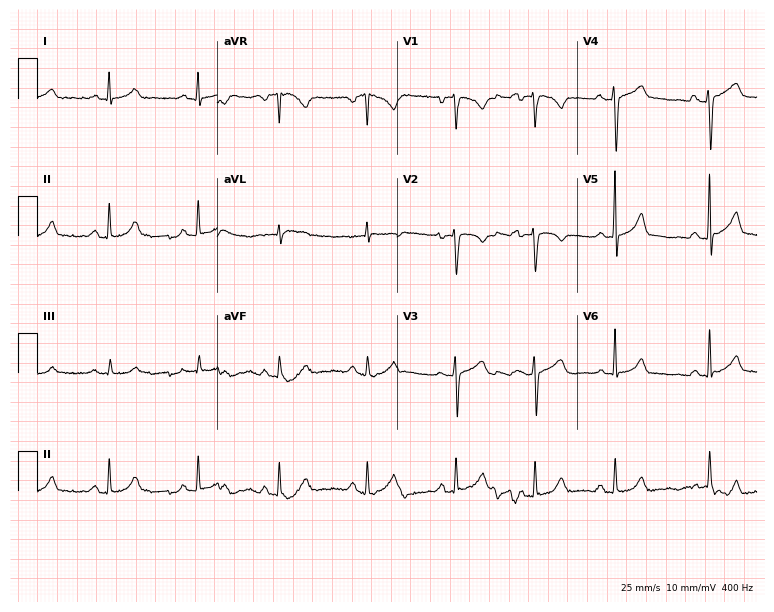
ECG — a 19-year-old woman. Labelled as a normal ECG.